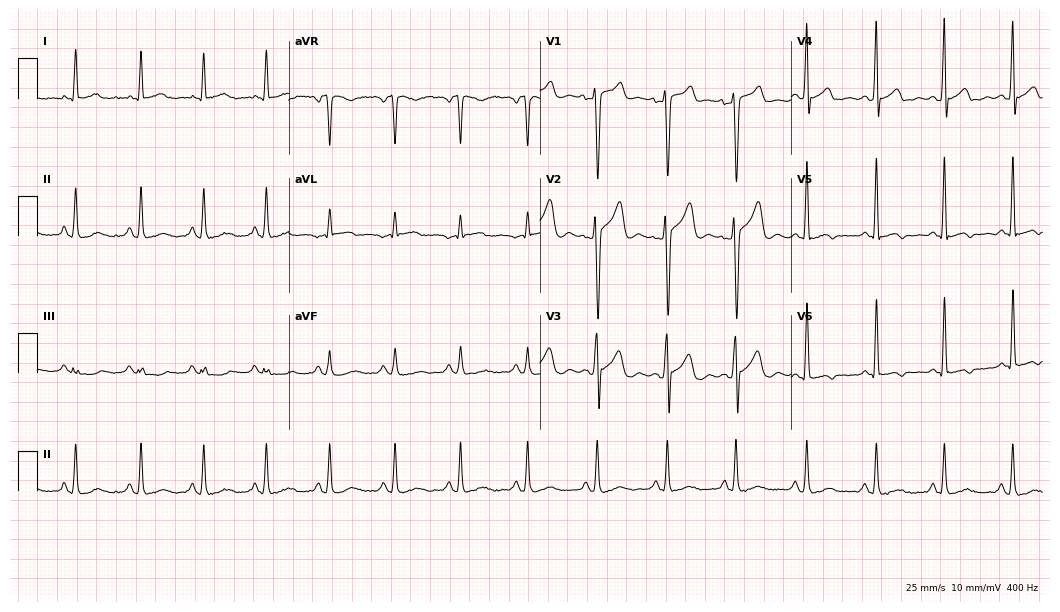
Standard 12-lead ECG recorded from a 32-year-old male patient. None of these six findings is recorded: first-degree AV block, right bundle branch block, left bundle branch block, sinus bradycardia, atrial fibrillation, sinus tachycardia. Other findings, if any, are not listed.